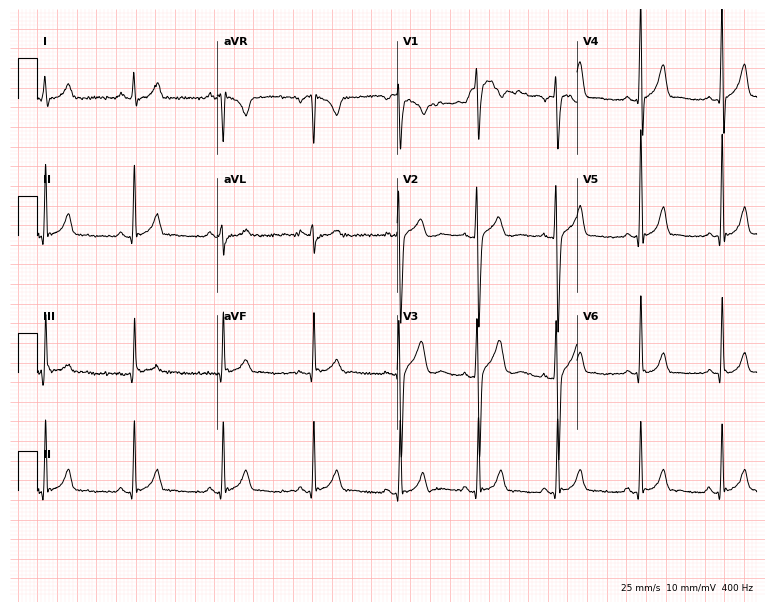
Resting 12-lead electrocardiogram (7.3-second recording at 400 Hz). Patient: a male, 23 years old. Read as a normal ECG.